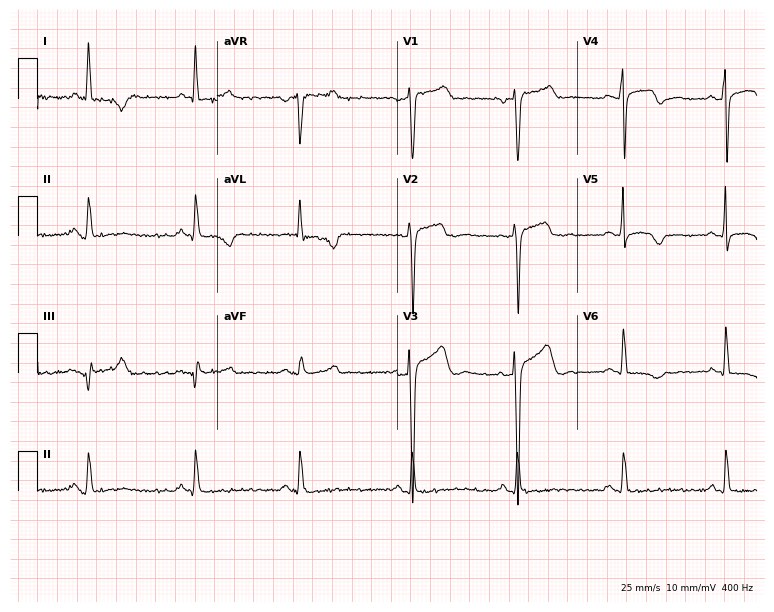
Standard 12-lead ECG recorded from a male patient, 44 years old. None of these six findings is recorded: first-degree AV block, right bundle branch block, left bundle branch block, sinus bradycardia, atrial fibrillation, sinus tachycardia. Findings outside these six are not listed.